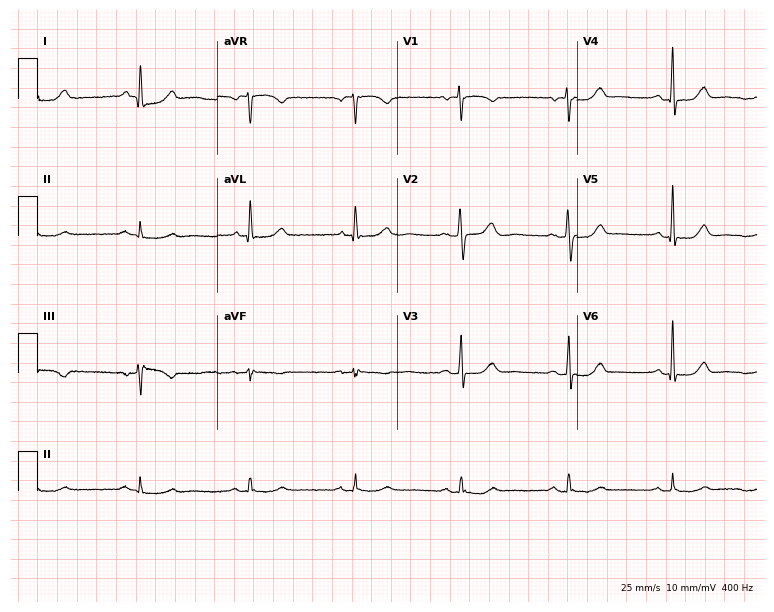
ECG — a female patient, 63 years old. Screened for six findings — first-degree AV block, right bundle branch block, left bundle branch block, sinus bradycardia, atrial fibrillation, sinus tachycardia — none is recorded.